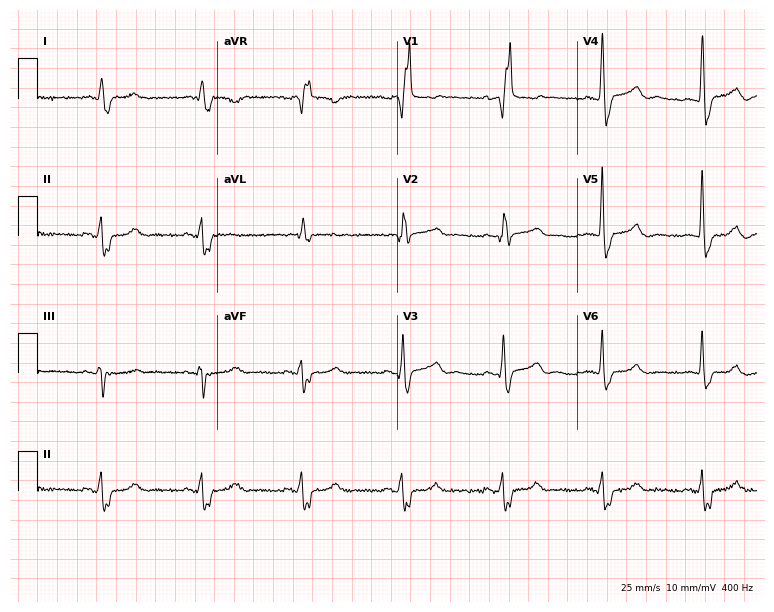
12-lead ECG (7.3-second recording at 400 Hz) from a 50-year-old man. Findings include right bundle branch block.